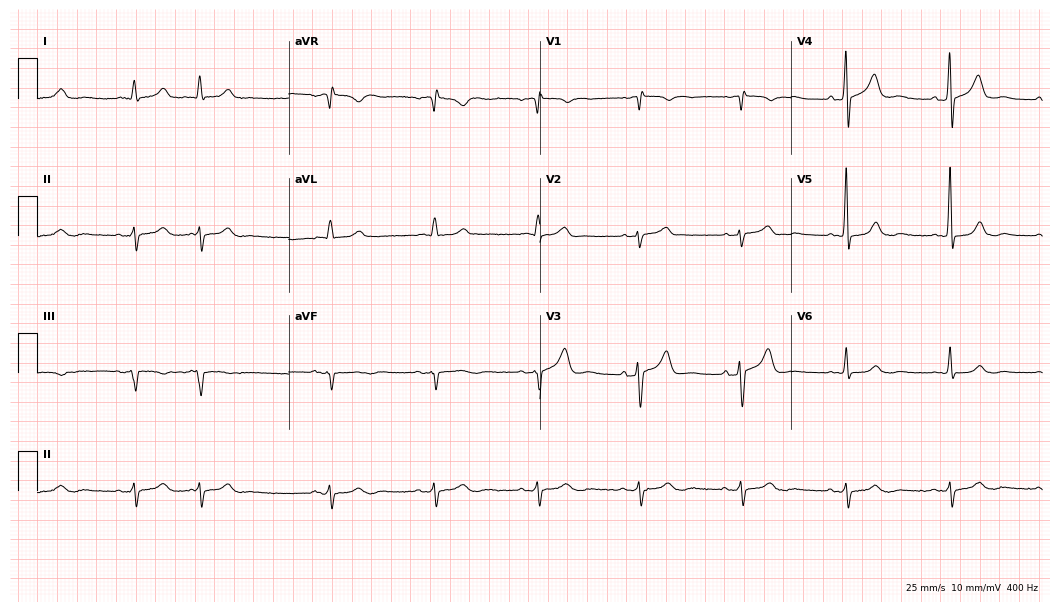
12-lead ECG from a 79-year-old male patient. Screened for six findings — first-degree AV block, right bundle branch block, left bundle branch block, sinus bradycardia, atrial fibrillation, sinus tachycardia — none is recorded. Other findings, if any, are not listed.